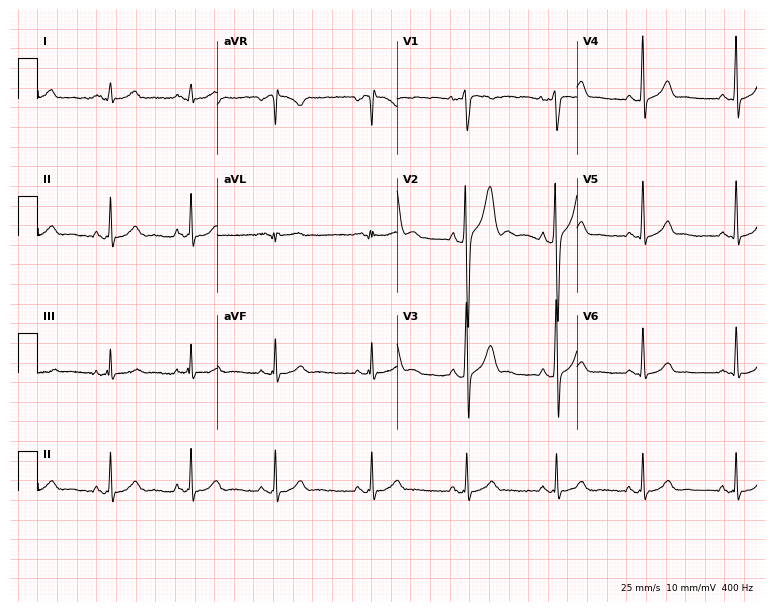
ECG (7.3-second recording at 400 Hz) — a man, 34 years old. Screened for six findings — first-degree AV block, right bundle branch block, left bundle branch block, sinus bradycardia, atrial fibrillation, sinus tachycardia — none is recorded. Findings outside these six are not listed.